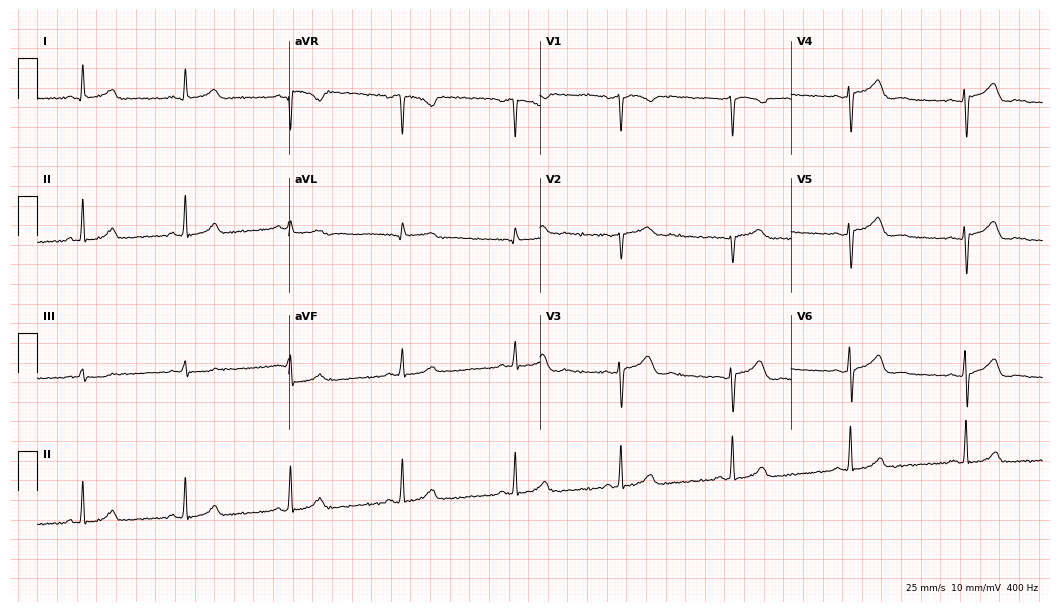
Standard 12-lead ECG recorded from a 27-year-old female patient (10.2-second recording at 400 Hz). None of these six findings is recorded: first-degree AV block, right bundle branch block, left bundle branch block, sinus bradycardia, atrial fibrillation, sinus tachycardia. Only these six findings were labelled.